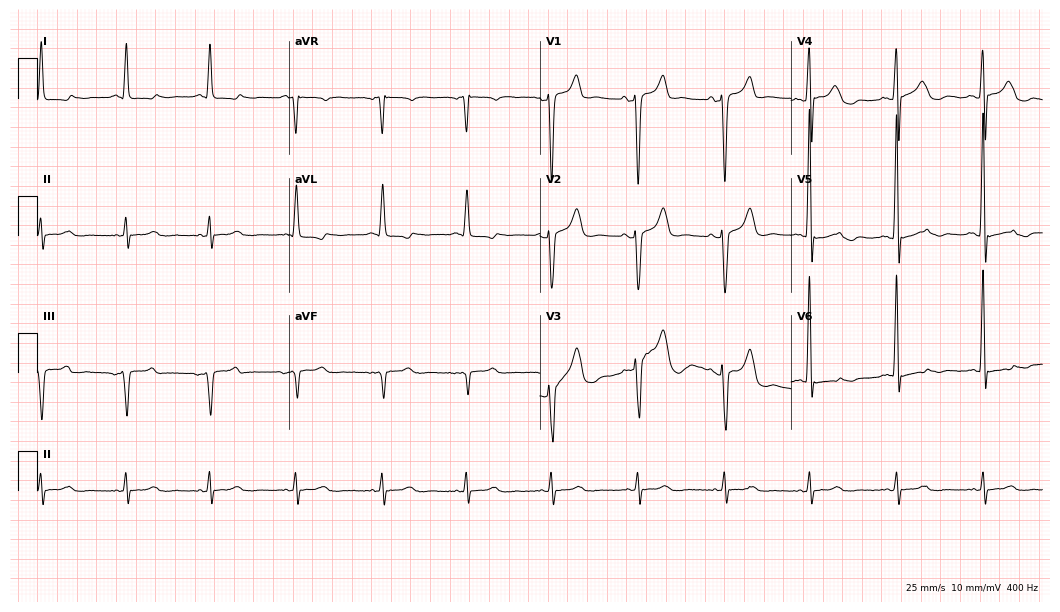
Standard 12-lead ECG recorded from a 67-year-old man (10.2-second recording at 400 Hz). None of these six findings is recorded: first-degree AV block, right bundle branch block, left bundle branch block, sinus bradycardia, atrial fibrillation, sinus tachycardia.